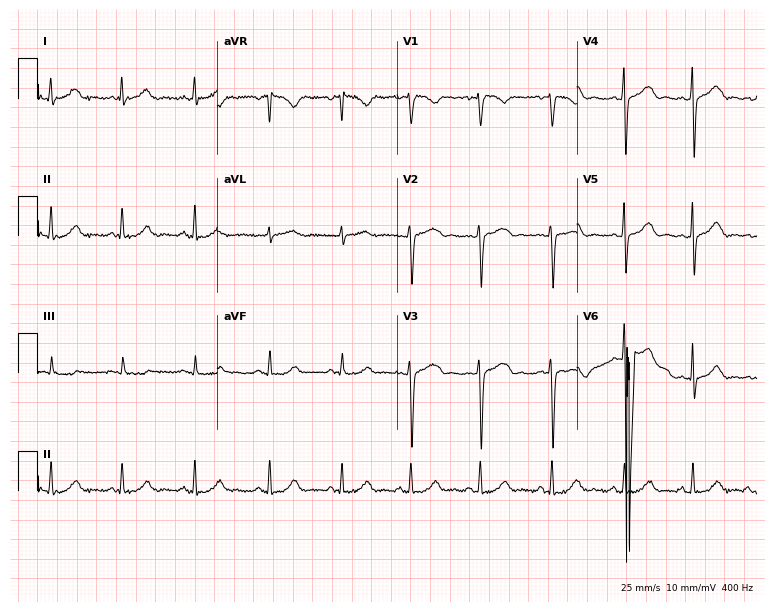
Standard 12-lead ECG recorded from a female, 24 years old. None of these six findings is recorded: first-degree AV block, right bundle branch block (RBBB), left bundle branch block (LBBB), sinus bradycardia, atrial fibrillation (AF), sinus tachycardia.